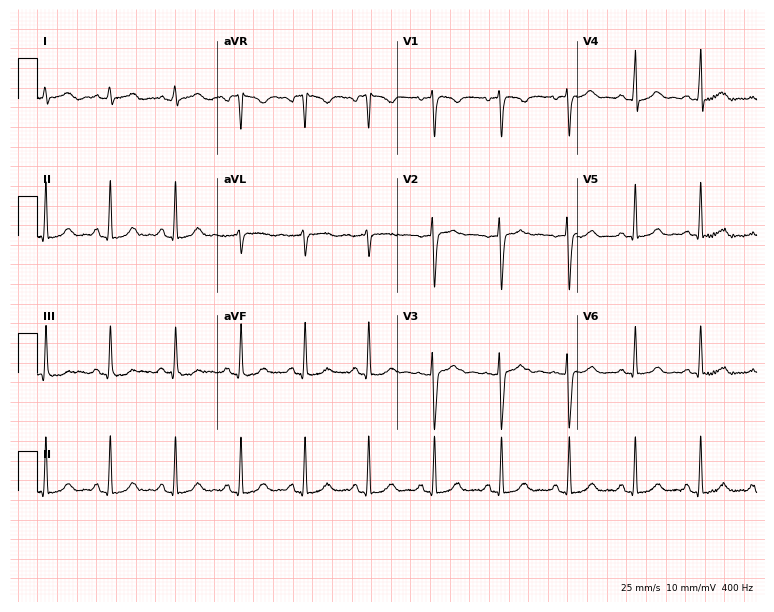
Standard 12-lead ECG recorded from a woman, 29 years old (7.3-second recording at 400 Hz). Read as a normal ECG.